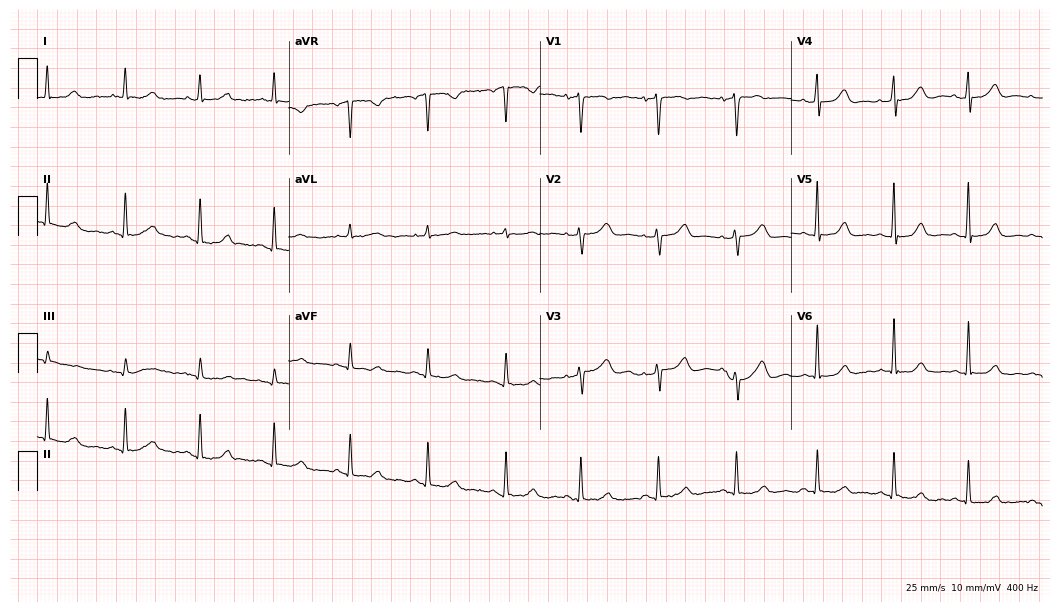
ECG (10.2-second recording at 400 Hz) — a 61-year-old woman. Labelled as a normal ECG.